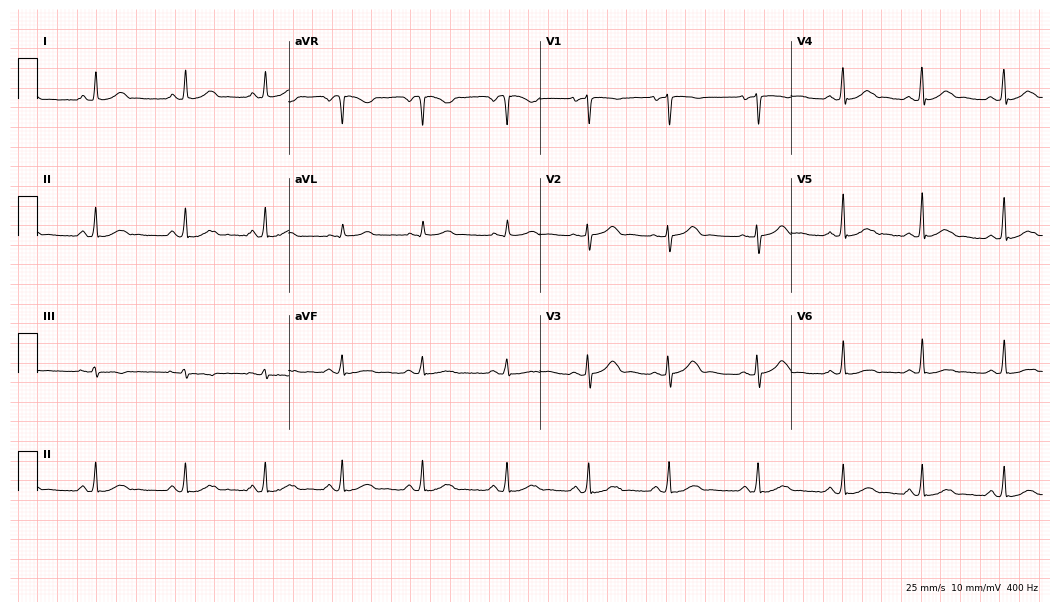
Electrocardiogram, a female, 28 years old. Overall reading on record: normal ECG.